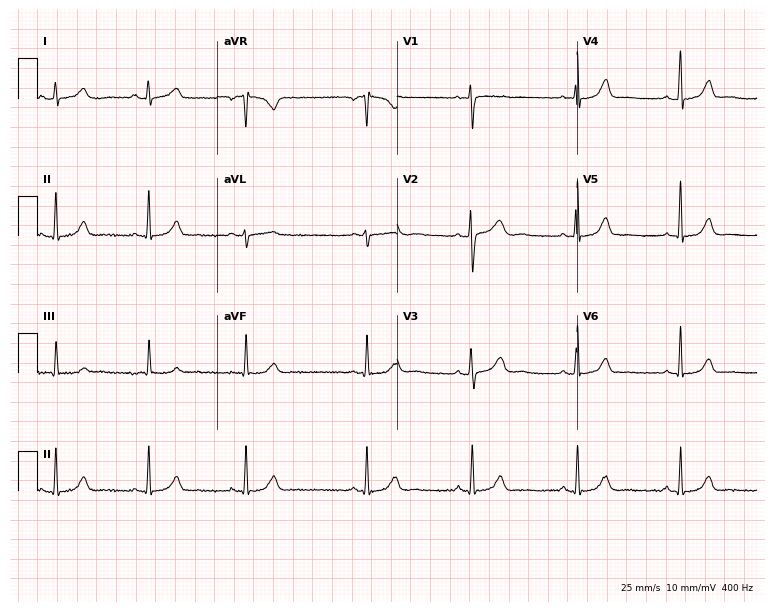
Electrocardiogram, a female patient, 52 years old. Of the six screened findings (first-degree AV block, right bundle branch block, left bundle branch block, sinus bradycardia, atrial fibrillation, sinus tachycardia), none is recorded.